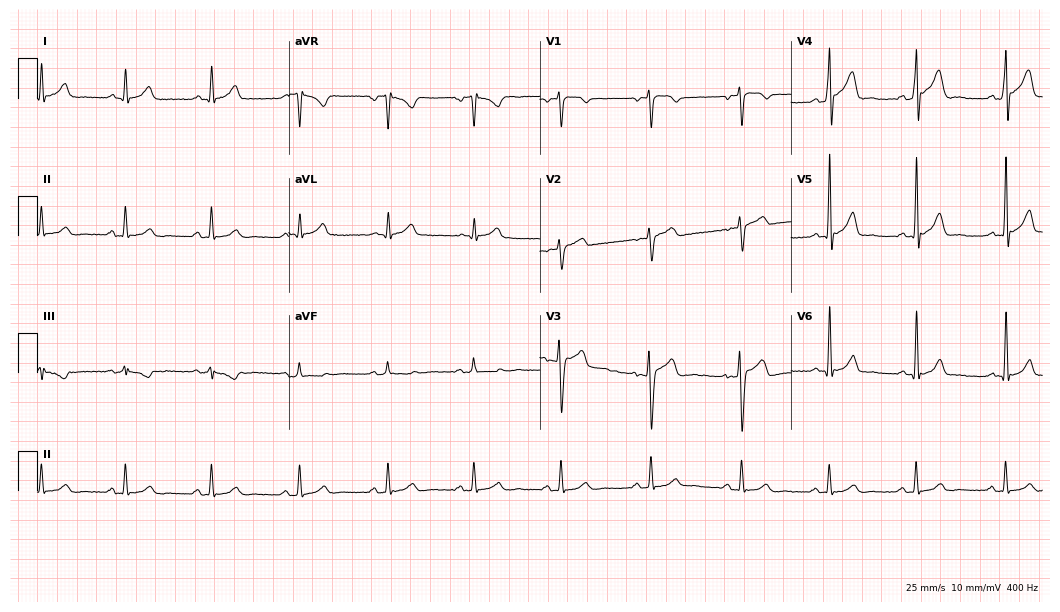
12-lead ECG (10.2-second recording at 400 Hz) from a male patient, 35 years old. Labelled as a normal ECG.